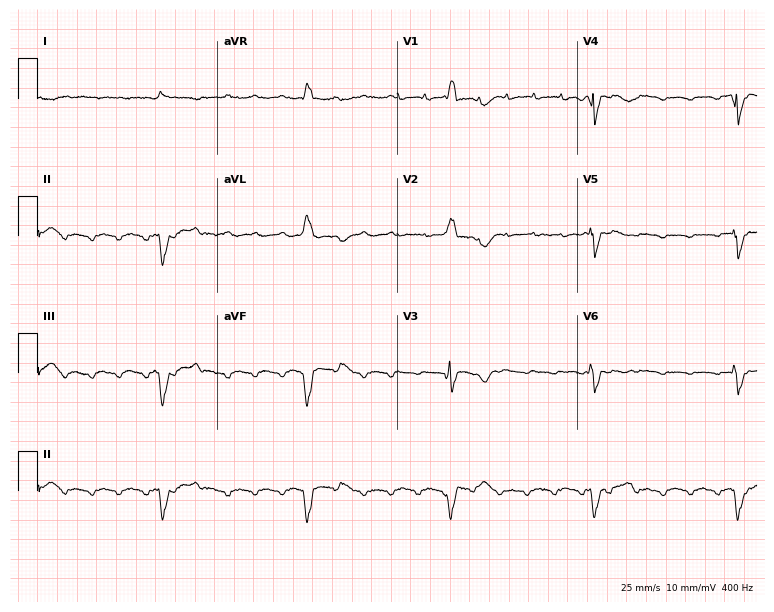
Electrocardiogram, a 65-year-old man. Interpretation includes right bundle branch block (RBBB).